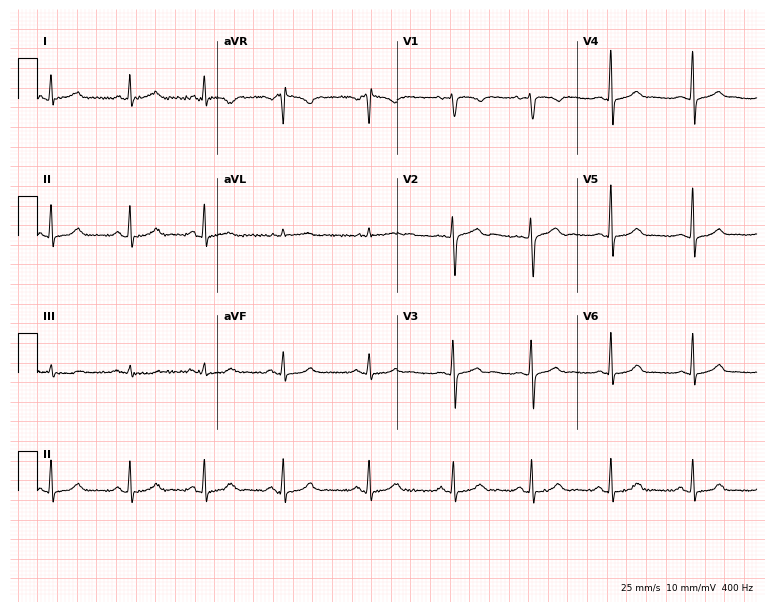
Resting 12-lead electrocardiogram (7.3-second recording at 400 Hz). Patient: a 32-year-old female. Read as a normal ECG.